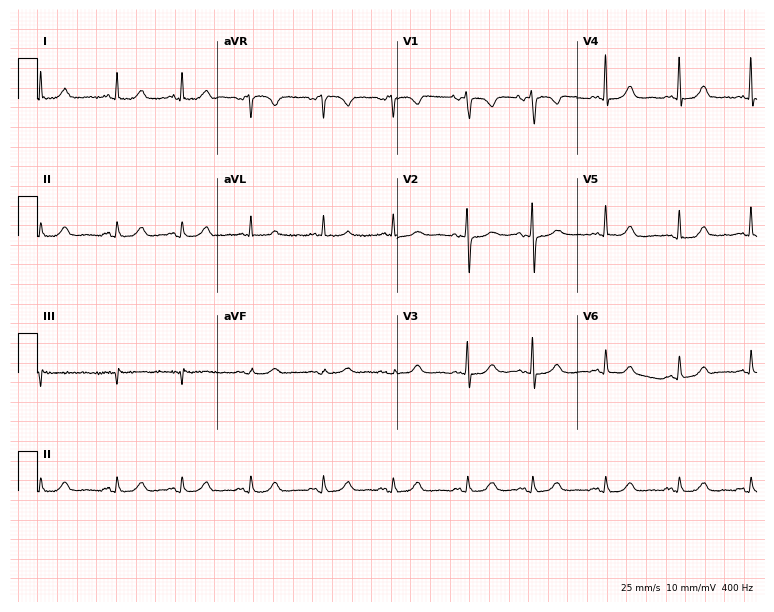
Standard 12-lead ECG recorded from a female, 75 years old. Read as a normal ECG.